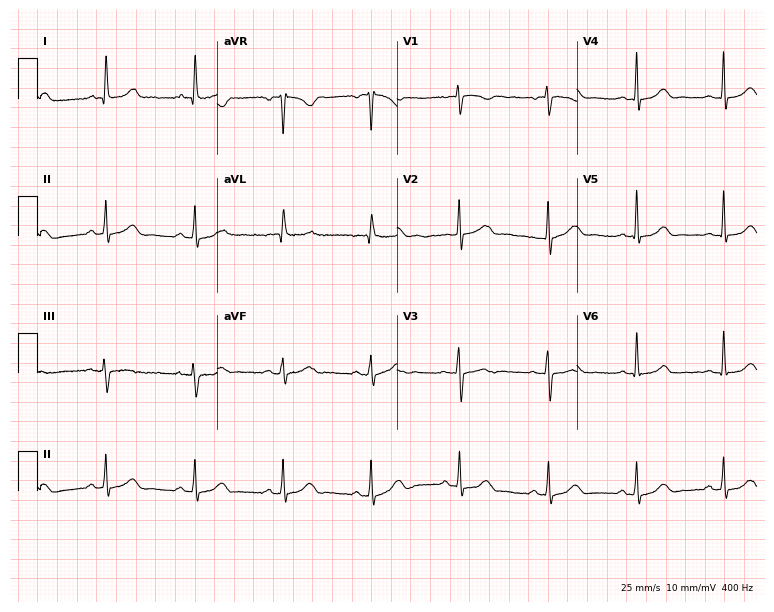
Standard 12-lead ECG recorded from an 84-year-old female (7.3-second recording at 400 Hz). Read as a normal ECG.